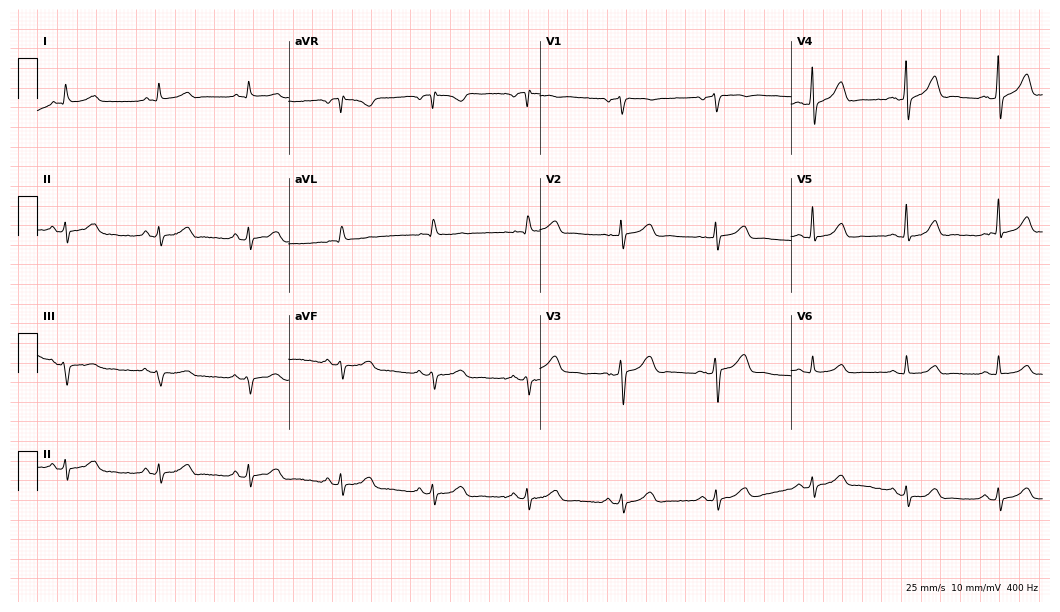
Electrocardiogram, a female, 61 years old. Overall reading on record: normal ECG.